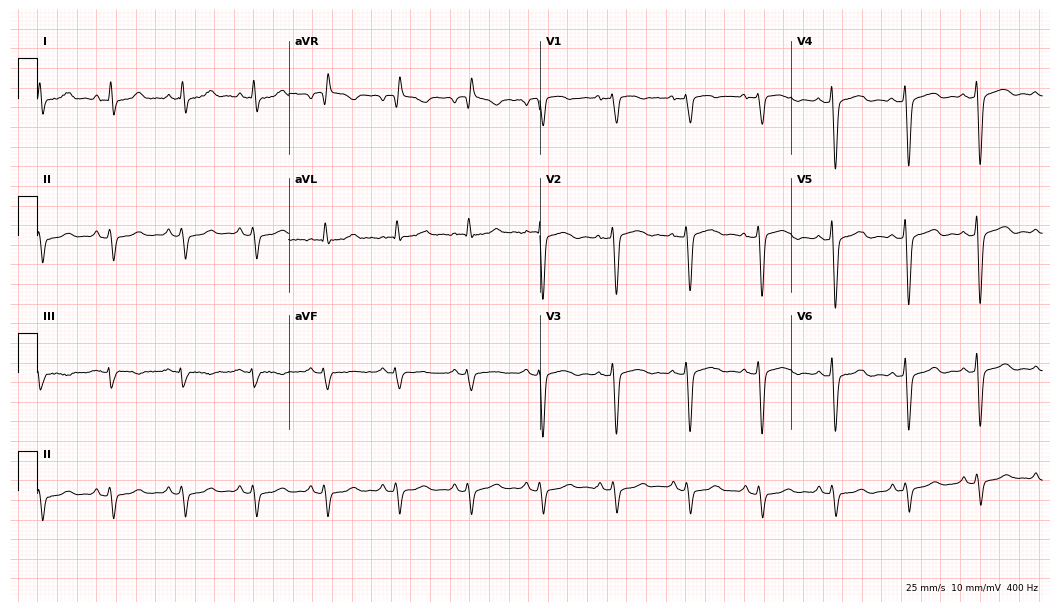
ECG — a female patient, 59 years old. Screened for six findings — first-degree AV block, right bundle branch block, left bundle branch block, sinus bradycardia, atrial fibrillation, sinus tachycardia — none is recorded.